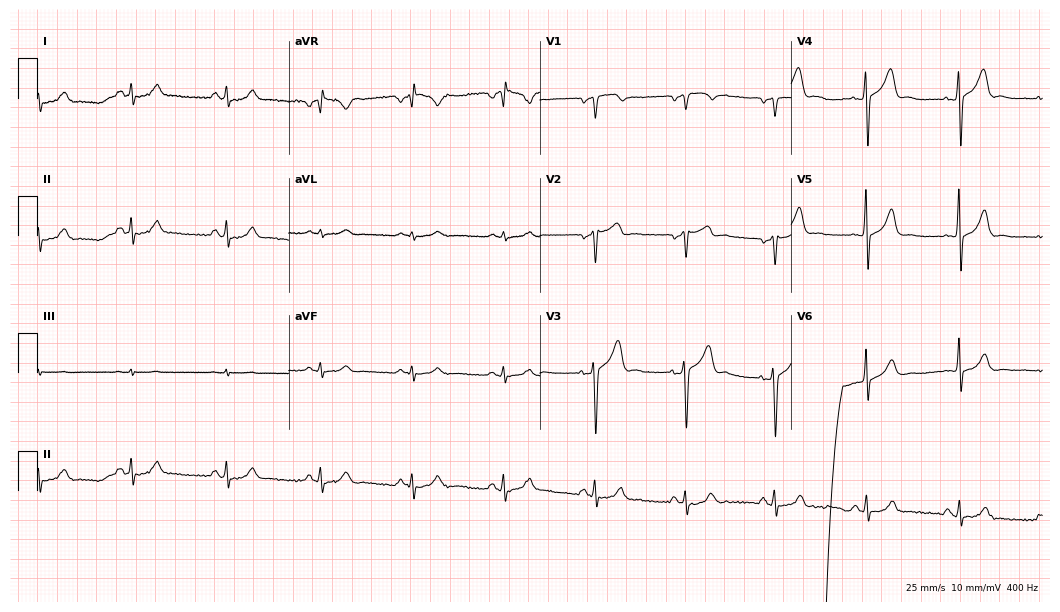
Resting 12-lead electrocardiogram (10.2-second recording at 400 Hz). Patient: a male, 50 years old. None of these six findings is recorded: first-degree AV block, right bundle branch block (RBBB), left bundle branch block (LBBB), sinus bradycardia, atrial fibrillation (AF), sinus tachycardia. Findings outside these six are not listed.